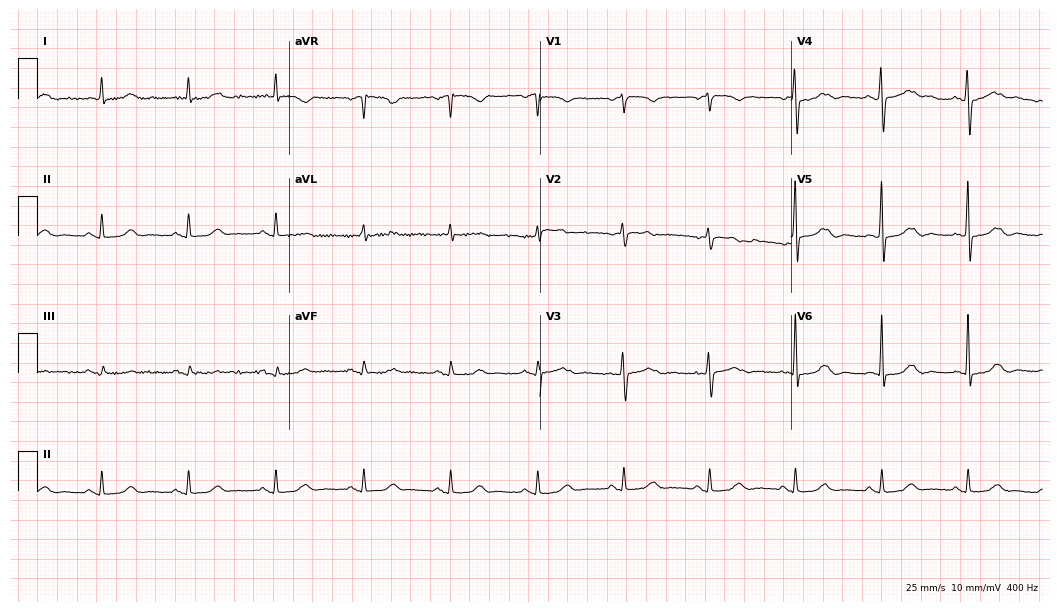
12-lead ECG from a female patient, 78 years old (10.2-second recording at 400 Hz). Recorded interpretation: within normal limits.